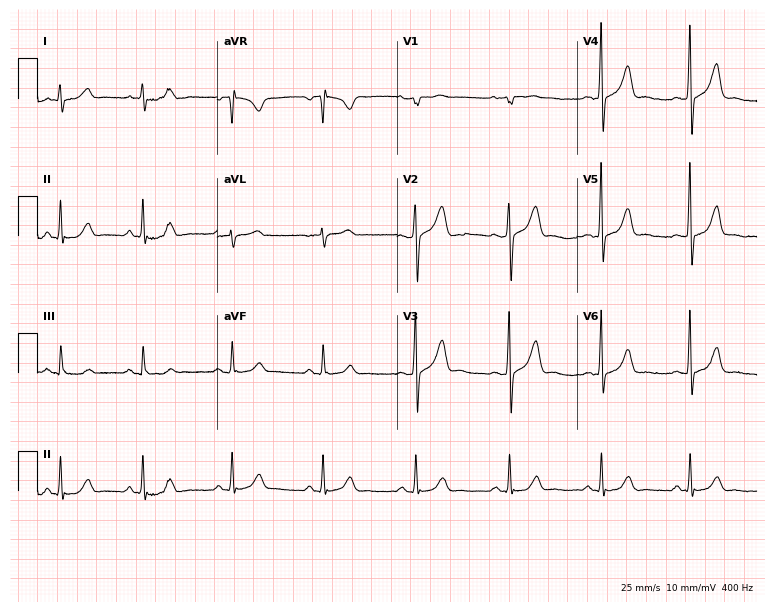
ECG — a 50-year-old male. Labelled as a normal ECG.